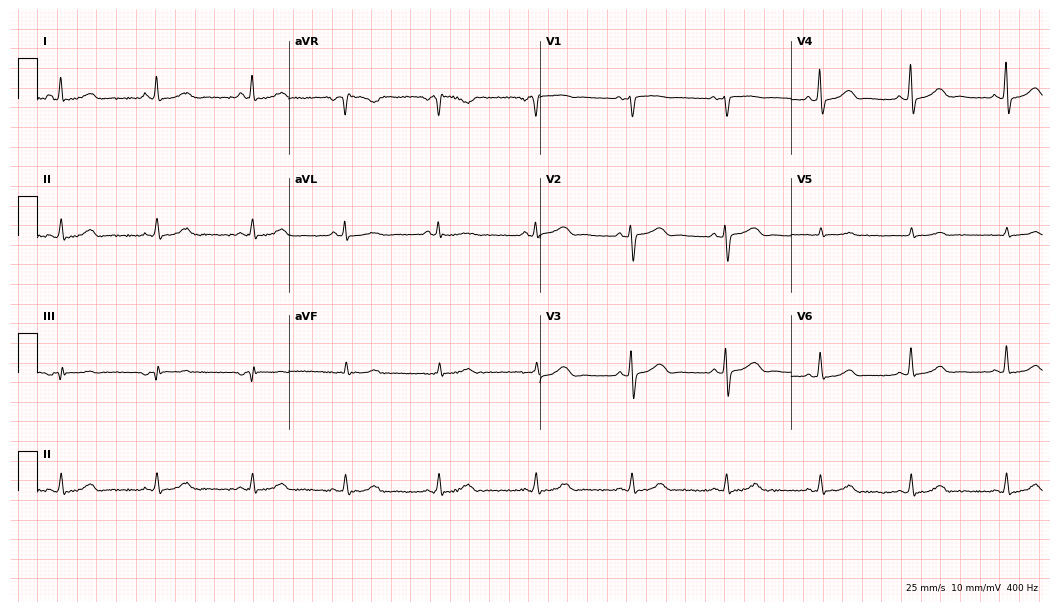
Resting 12-lead electrocardiogram. Patient: a 53-year-old female. Read as a normal ECG.